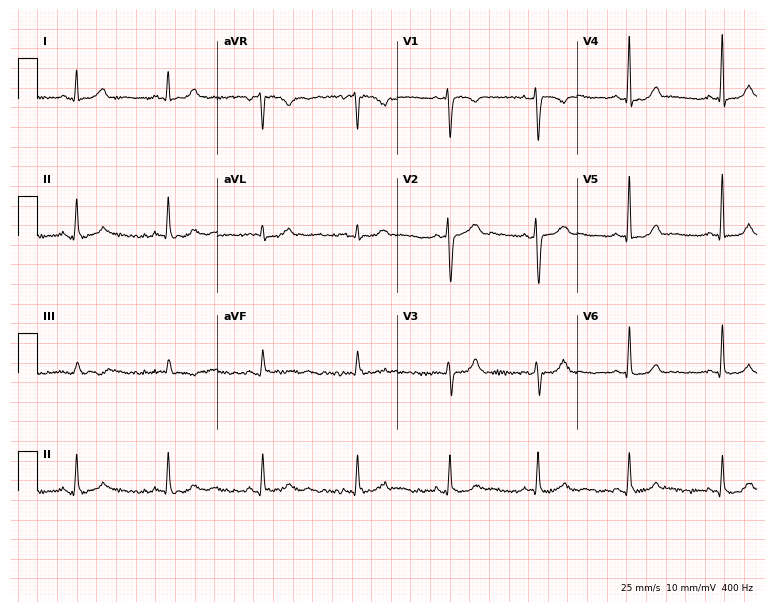
Electrocardiogram, a 41-year-old female. Overall reading on record: normal ECG.